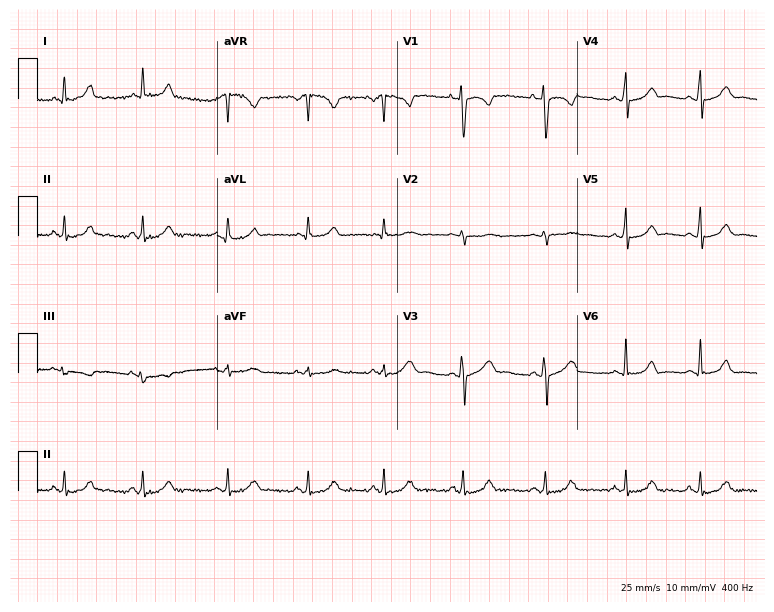
ECG (7.3-second recording at 400 Hz) — a female, 27 years old. Labelled as a normal ECG.